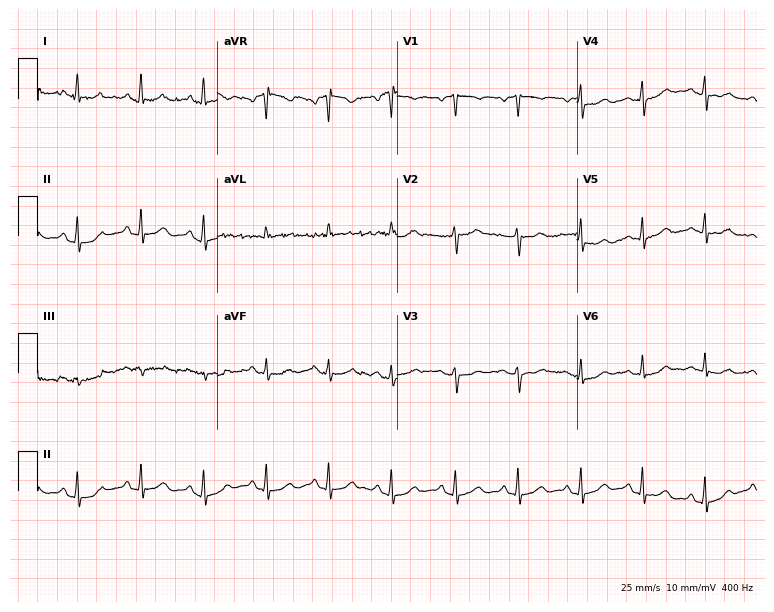
Electrocardiogram (7.3-second recording at 400 Hz), a female patient, 63 years old. Of the six screened findings (first-degree AV block, right bundle branch block, left bundle branch block, sinus bradycardia, atrial fibrillation, sinus tachycardia), none is recorded. Only these six findings were labelled.